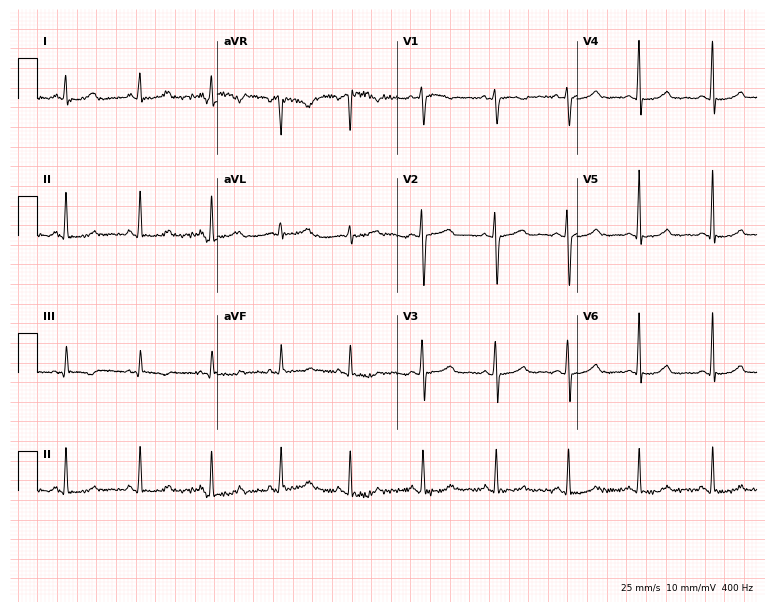
ECG (7.3-second recording at 400 Hz) — a woman, 39 years old. Screened for six findings — first-degree AV block, right bundle branch block, left bundle branch block, sinus bradycardia, atrial fibrillation, sinus tachycardia — none is recorded.